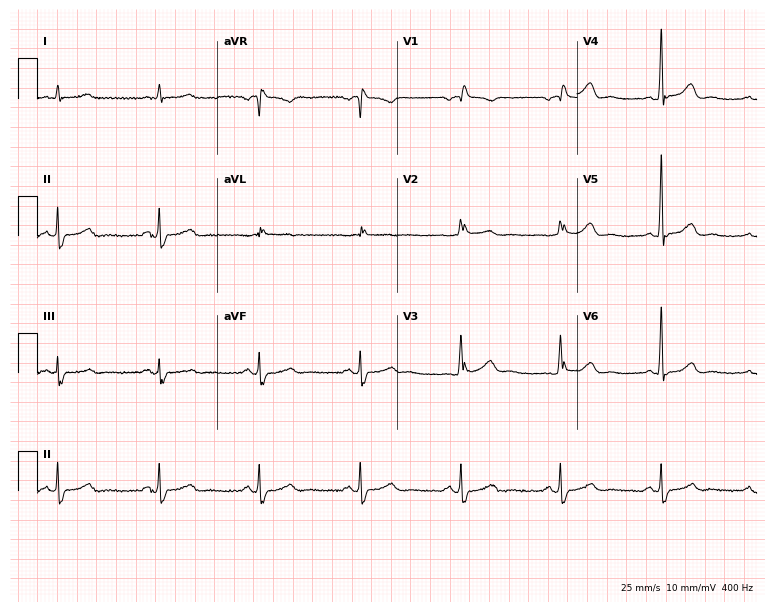
ECG (7.3-second recording at 400 Hz) — an 85-year-old male patient. Screened for six findings — first-degree AV block, right bundle branch block (RBBB), left bundle branch block (LBBB), sinus bradycardia, atrial fibrillation (AF), sinus tachycardia — none is recorded. Other findings, if any, are not listed.